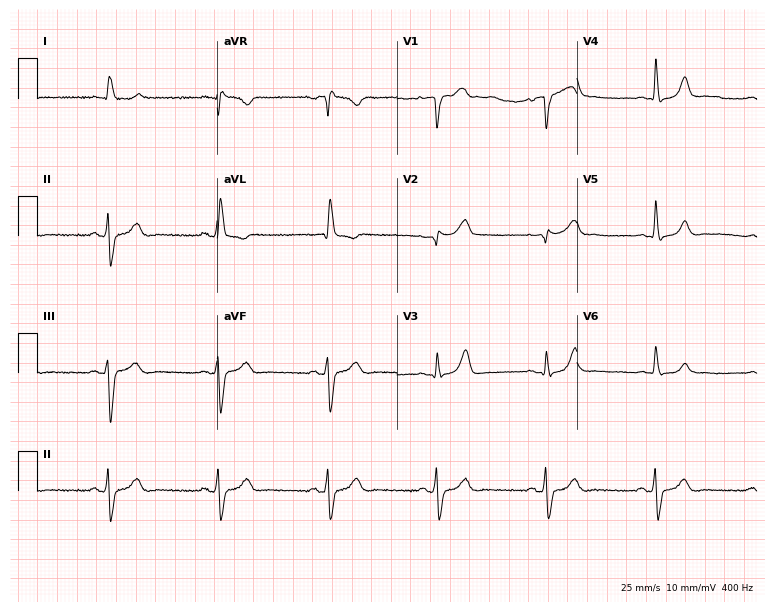
Electrocardiogram, a 72-year-old male. Interpretation includes left bundle branch block.